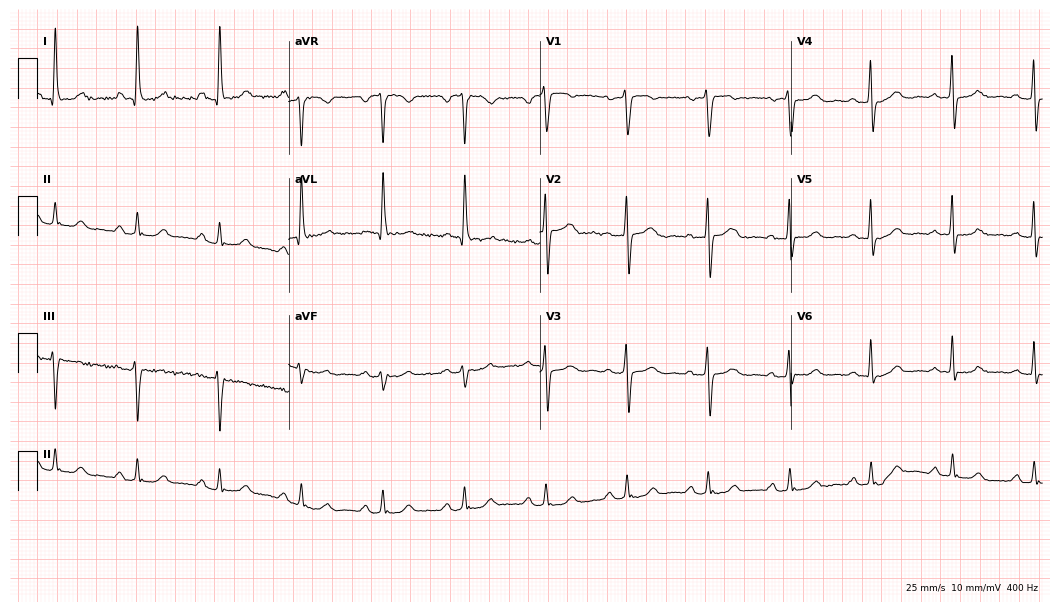
12-lead ECG (10.2-second recording at 400 Hz) from a 47-year-old female patient. Labelled as a normal ECG.